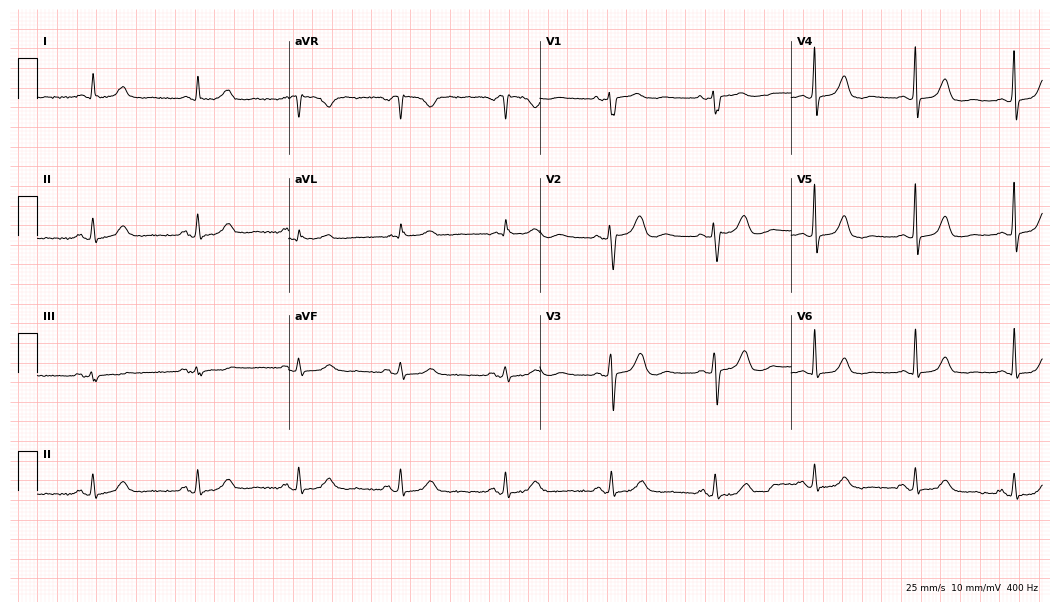
Standard 12-lead ECG recorded from a 79-year-old female (10.2-second recording at 400 Hz). Read as a normal ECG.